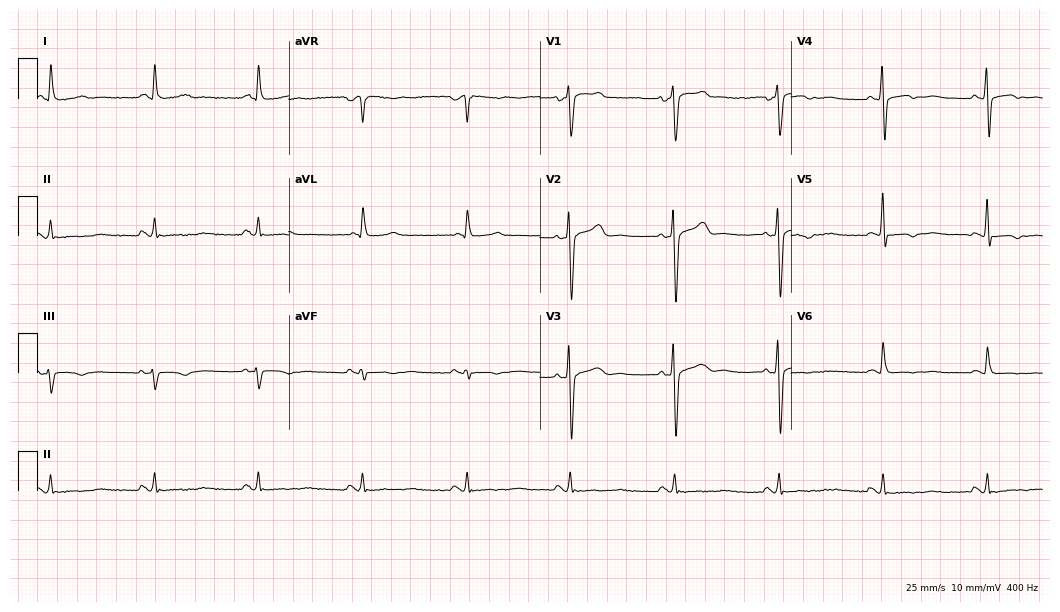
Electrocardiogram, a 74-year-old man. Of the six screened findings (first-degree AV block, right bundle branch block, left bundle branch block, sinus bradycardia, atrial fibrillation, sinus tachycardia), none is recorded. Findings outside these six are not listed.